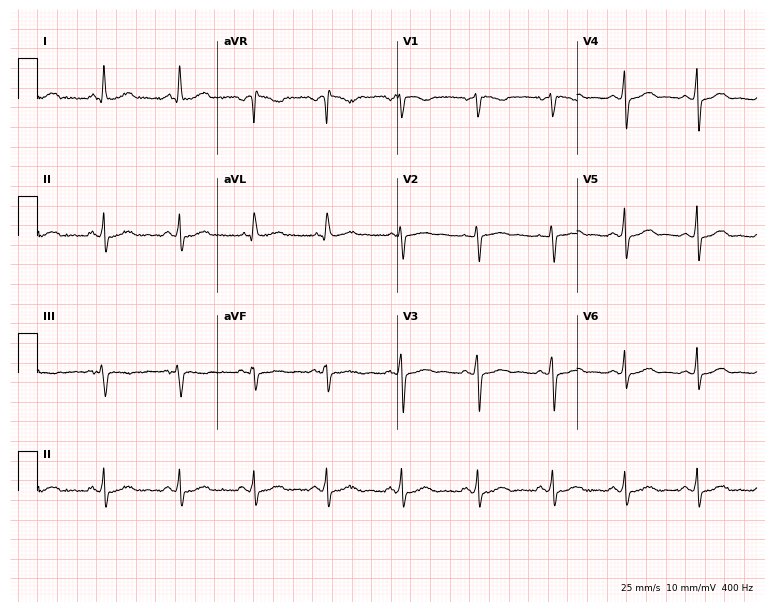
12-lead ECG from a 60-year-old female (7.3-second recording at 400 Hz). No first-degree AV block, right bundle branch block, left bundle branch block, sinus bradycardia, atrial fibrillation or sinus tachycardia recorded for this tracing.